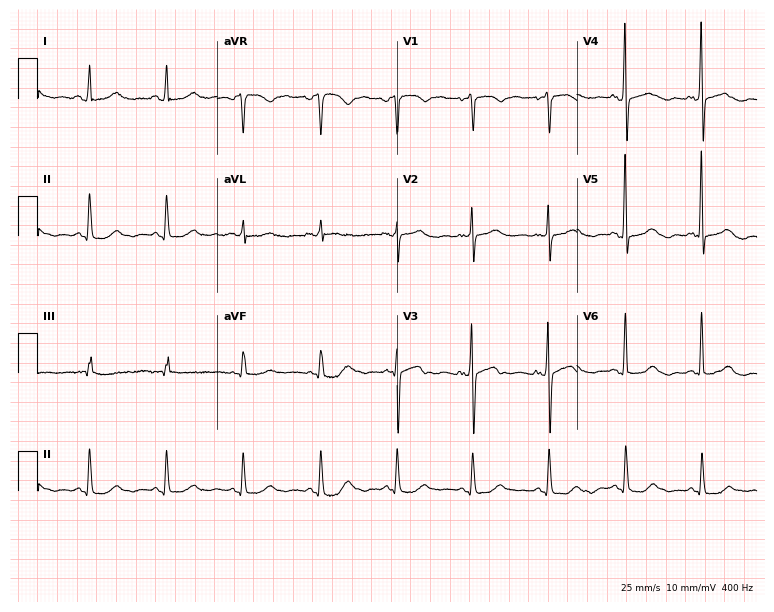
12-lead ECG (7.3-second recording at 400 Hz) from a woman, 74 years old. Screened for six findings — first-degree AV block, right bundle branch block (RBBB), left bundle branch block (LBBB), sinus bradycardia, atrial fibrillation (AF), sinus tachycardia — none is recorded. Findings outside these six are not listed.